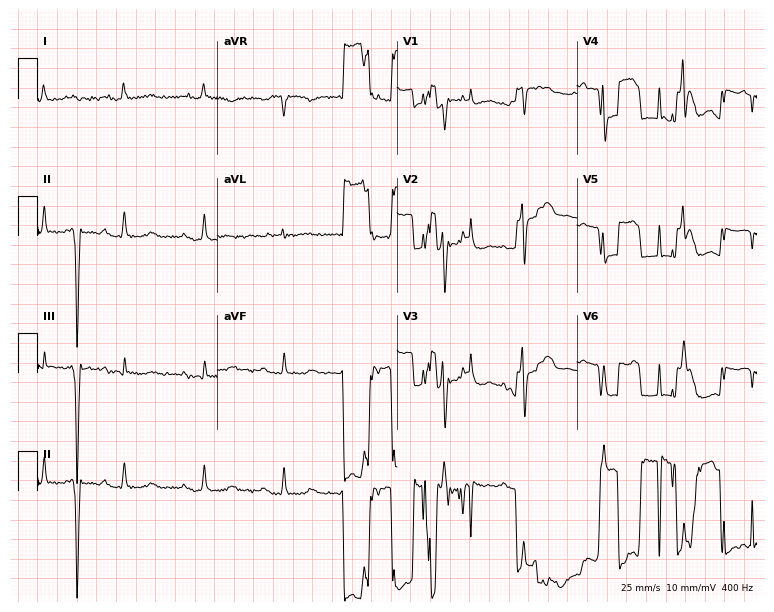
Standard 12-lead ECG recorded from an 81-year-old male. None of these six findings is recorded: first-degree AV block, right bundle branch block, left bundle branch block, sinus bradycardia, atrial fibrillation, sinus tachycardia.